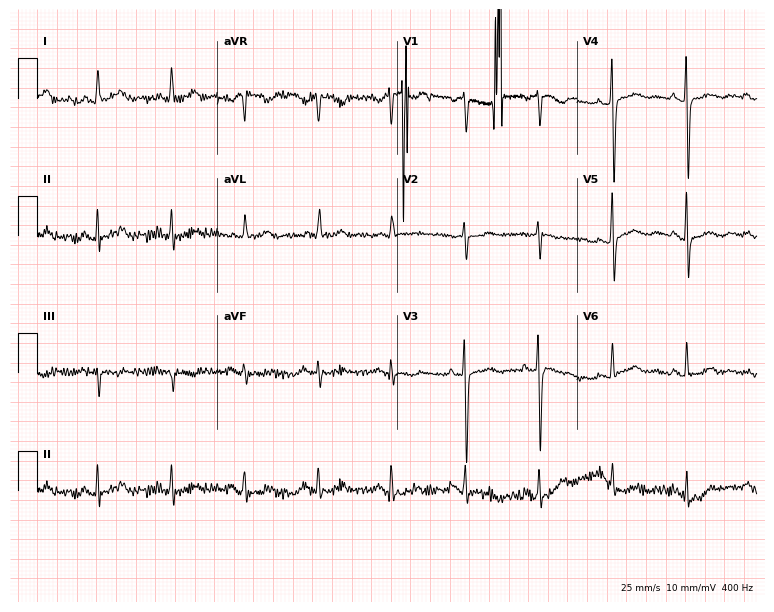
Resting 12-lead electrocardiogram (7.3-second recording at 400 Hz). Patient: a 73-year-old female. None of these six findings is recorded: first-degree AV block, right bundle branch block, left bundle branch block, sinus bradycardia, atrial fibrillation, sinus tachycardia.